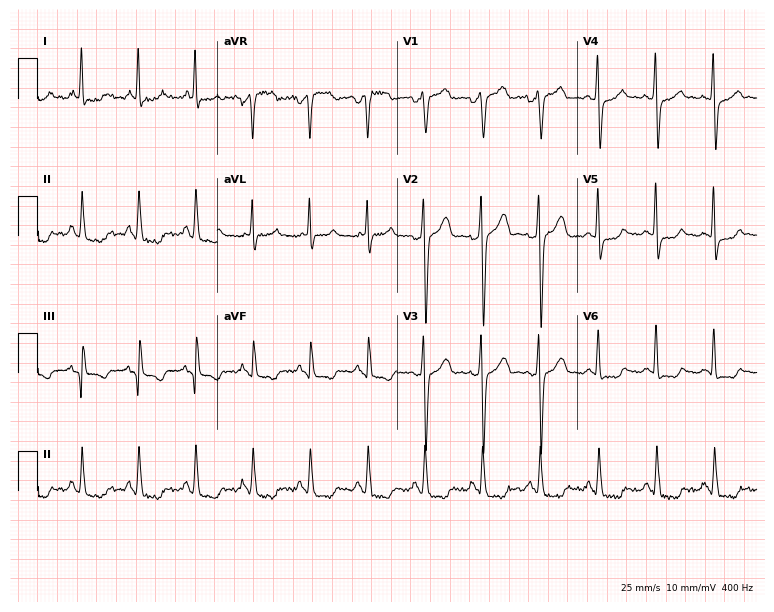
Resting 12-lead electrocardiogram. Patient: a 56-year-old female. None of these six findings is recorded: first-degree AV block, right bundle branch block, left bundle branch block, sinus bradycardia, atrial fibrillation, sinus tachycardia. Findings outside these six are not listed.